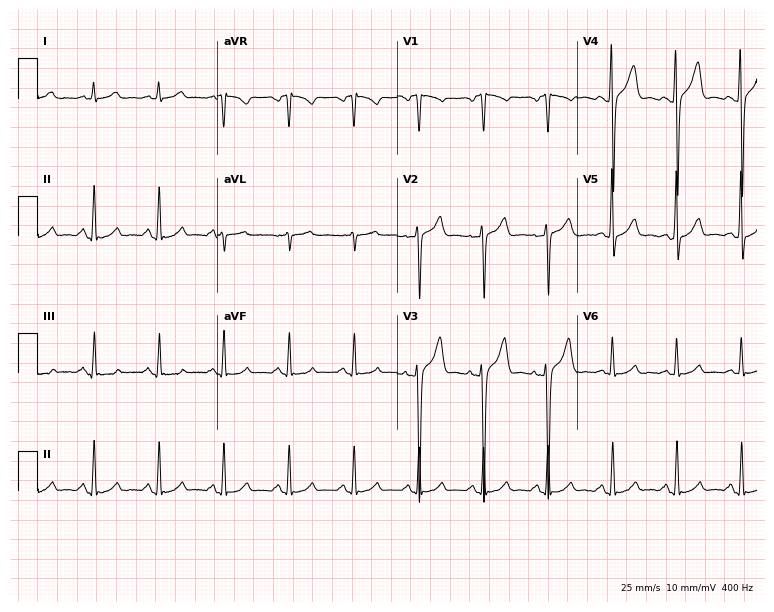
Electrocardiogram, a male, 54 years old. Overall reading on record: normal ECG.